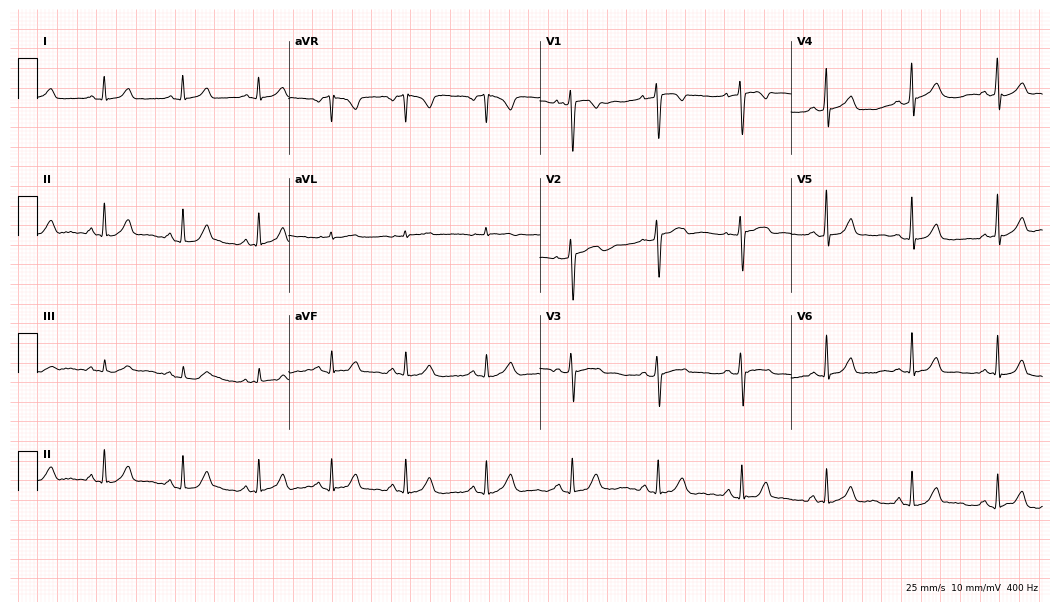
12-lead ECG from a 25-year-old female. Screened for six findings — first-degree AV block, right bundle branch block, left bundle branch block, sinus bradycardia, atrial fibrillation, sinus tachycardia — none is recorded. Only these six findings were labelled.